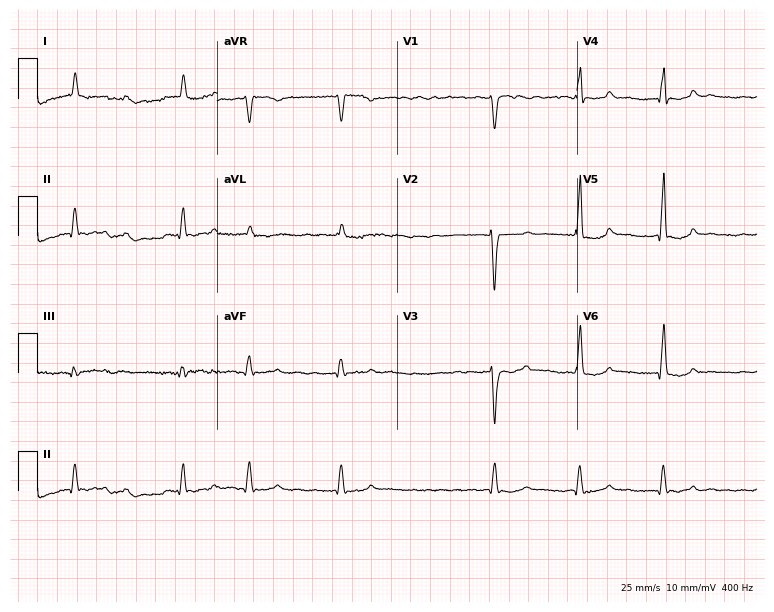
12-lead ECG from a woman, 65 years old. Findings include atrial fibrillation.